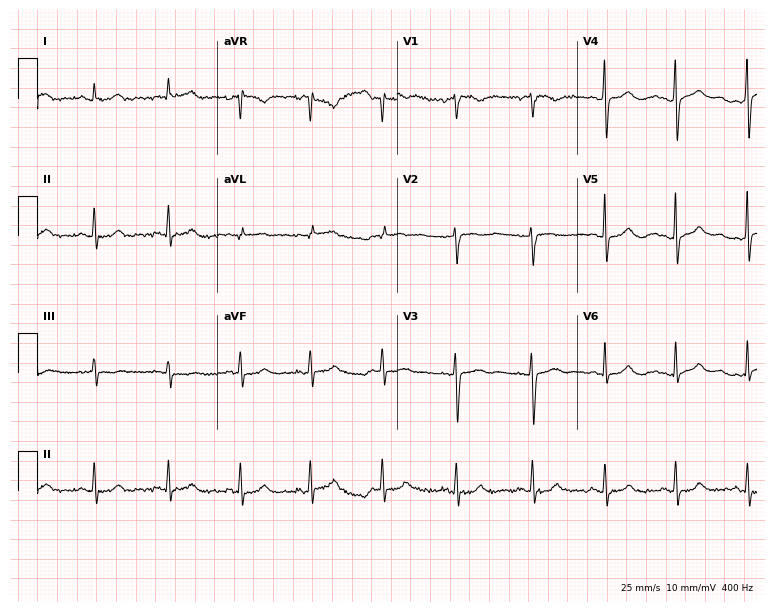
Electrocardiogram (7.3-second recording at 400 Hz), a 45-year-old woman. Overall reading on record: normal ECG.